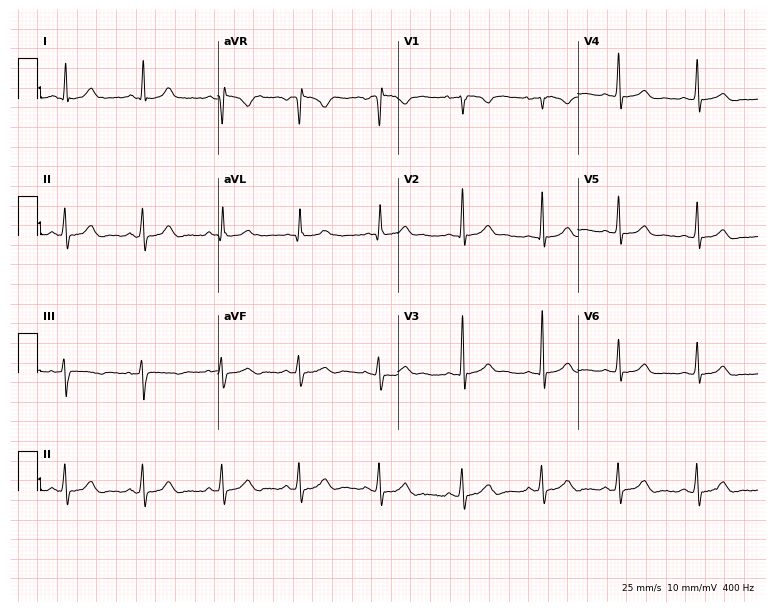
Electrocardiogram (7.3-second recording at 400 Hz), a 25-year-old female. Of the six screened findings (first-degree AV block, right bundle branch block, left bundle branch block, sinus bradycardia, atrial fibrillation, sinus tachycardia), none is recorded.